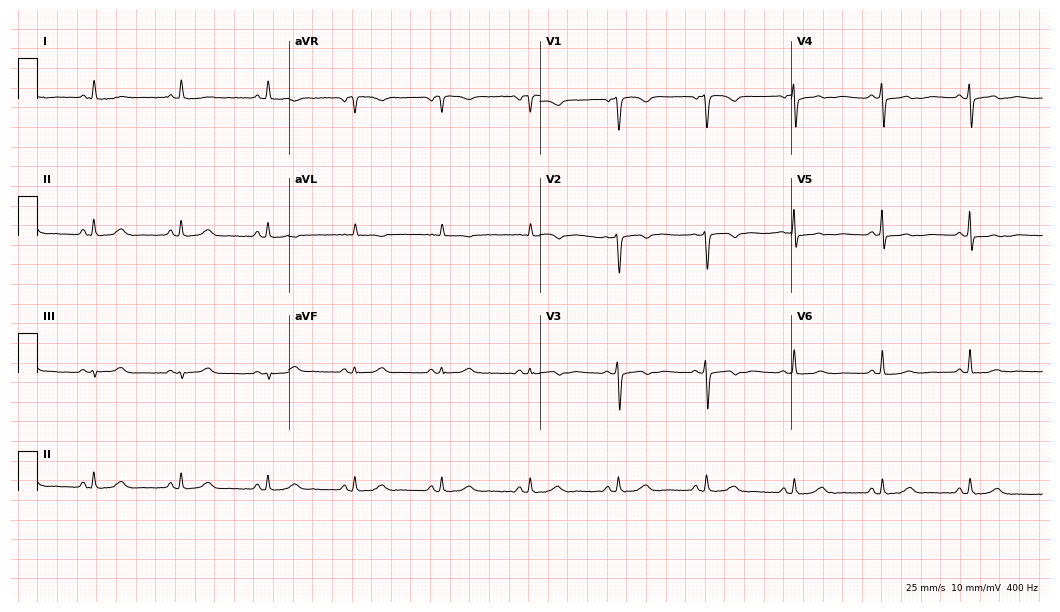
ECG — an 83-year-old woman. Screened for six findings — first-degree AV block, right bundle branch block, left bundle branch block, sinus bradycardia, atrial fibrillation, sinus tachycardia — none is recorded. Only these six findings were labelled.